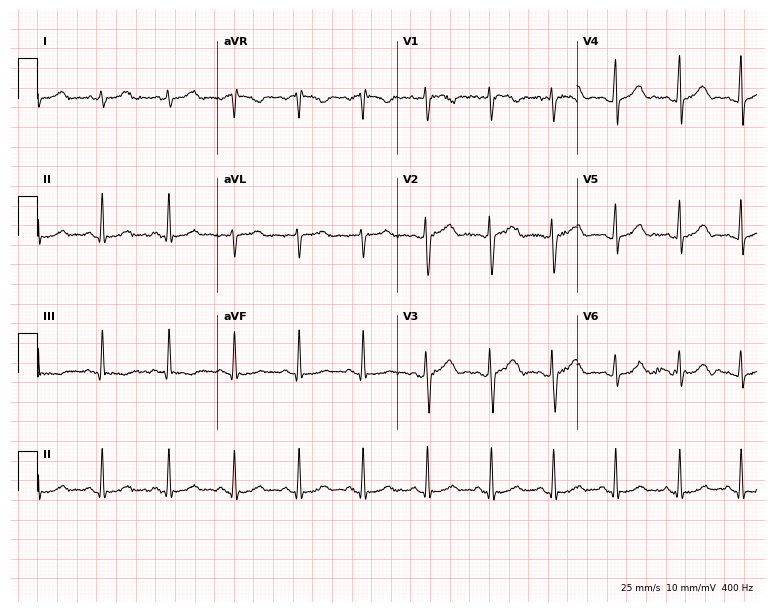
Resting 12-lead electrocardiogram. Patient: a female, 28 years old. None of these six findings is recorded: first-degree AV block, right bundle branch block (RBBB), left bundle branch block (LBBB), sinus bradycardia, atrial fibrillation (AF), sinus tachycardia.